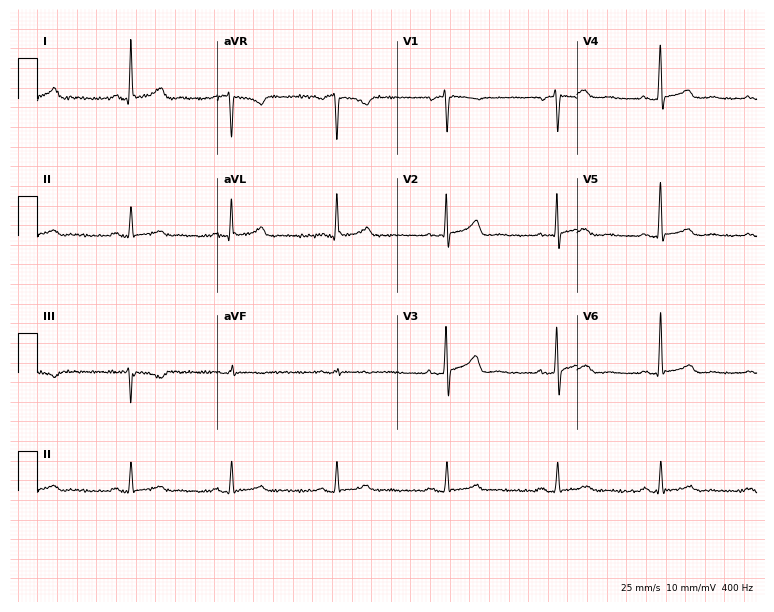
12-lead ECG from a 56-year-old male patient. Recorded interpretation: within normal limits.